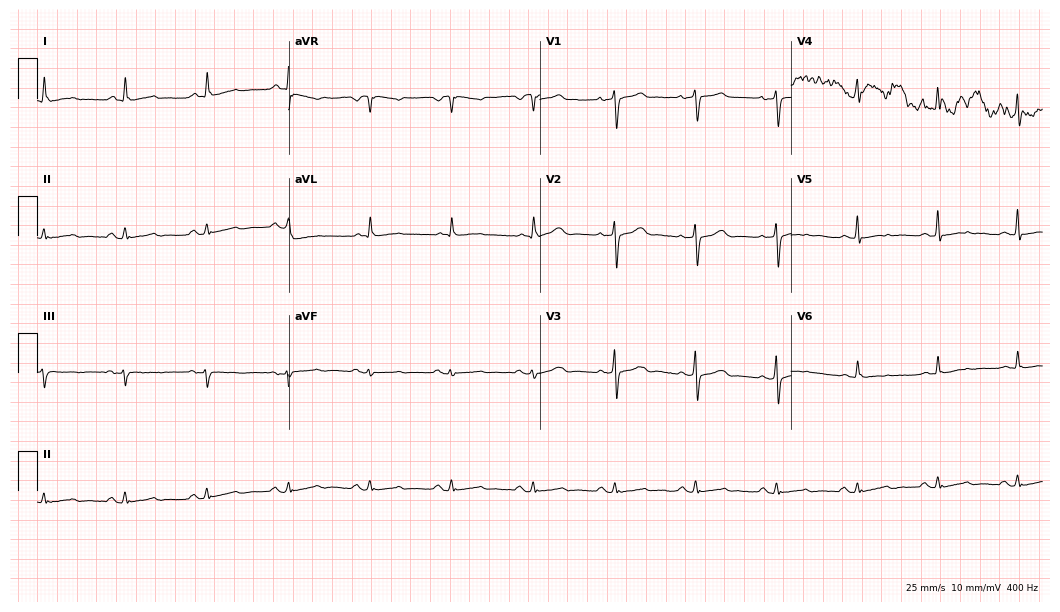
Electrocardiogram (10.2-second recording at 400 Hz), a 60-year-old female. Of the six screened findings (first-degree AV block, right bundle branch block, left bundle branch block, sinus bradycardia, atrial fibrillation, sinus tachycardia), none is recorded. Findings outside these six are not listed.